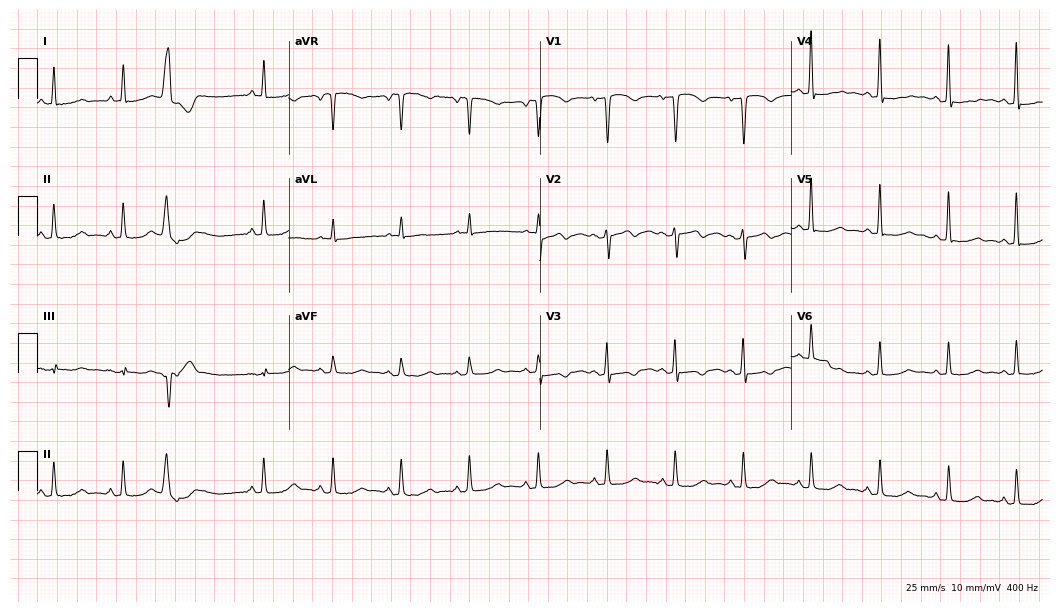
Standard 12-lead ECG recorded from a female patient, 62 years old. None of these six findings is recorded: first-degree AV block, right bundle branch block, left bundle branch block, sinus bradycardia, atrial fibrillation, sinus tachycardia.